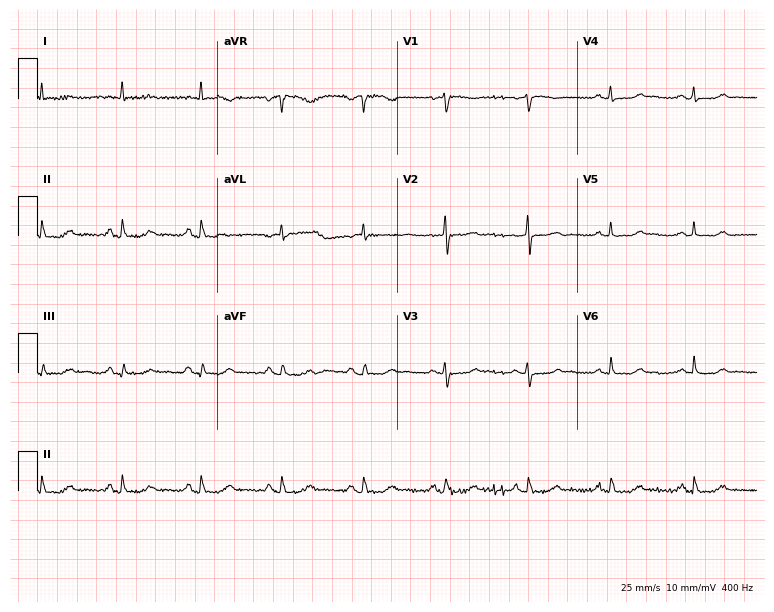
Resting 12-lead electrocardiogram (7.3-second recording at 400 Hz). Patient: a female, 67 years old. None of these six findings is recorded: first-degree AV block, right bundle branch block, left bundle branch block, sinus bradycardia, atrial fibrillation, sinus tachycardia. Other findings, if any, are not listed.